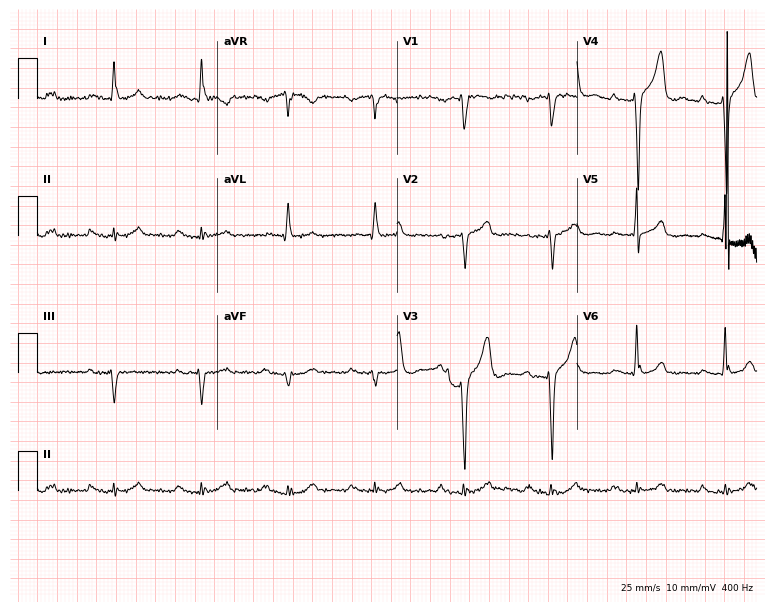
ECG (7.3-second recording at 400 Hz) — a male patient, 67 years old. Findings include first-degree AV block.